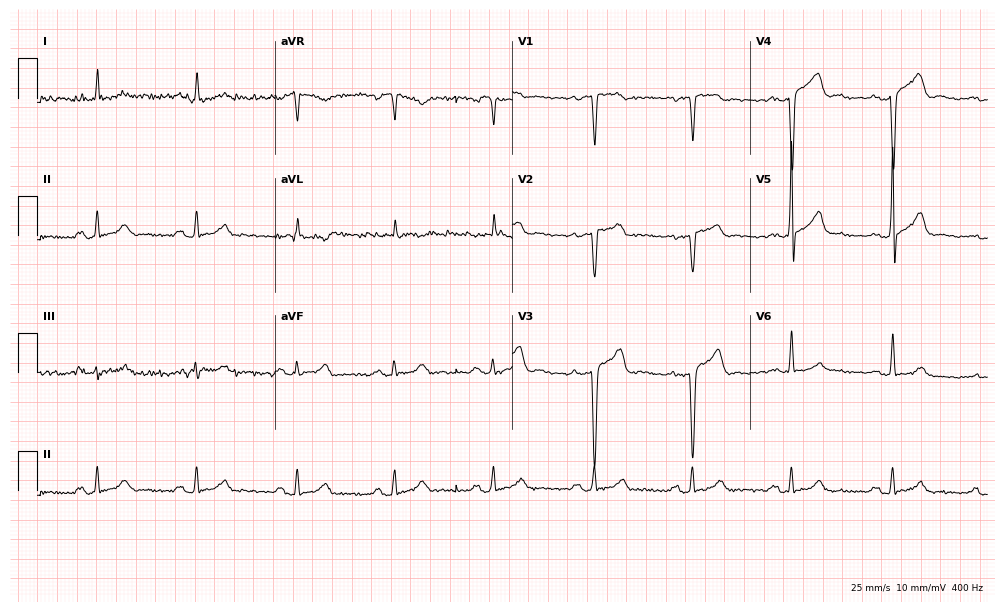
12-lead ECG from a 67-year-old male patient. No first-degree AV block, right bundle branch block, left bundle branch block, sinus bradycardia, atrial fibrillation or sinus tachycardia recorded for this tracing. Findings outside these six are not listed.